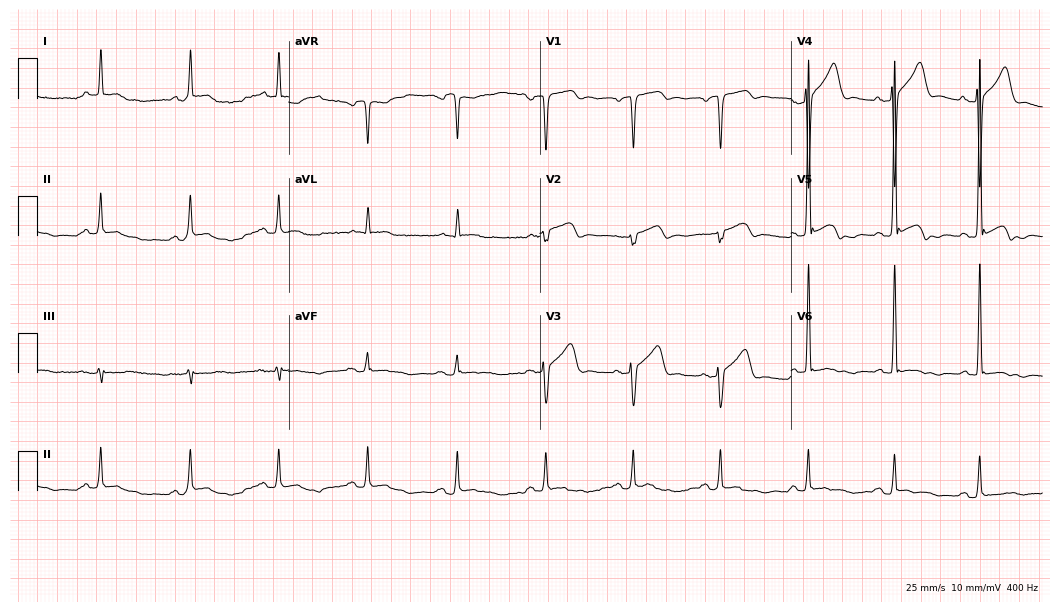
Standard 12-lead ECG recorded from a 64-year-old male (10.2-second recording at 400 Hz). None of these six findings is recorded: first-degree AV block, right bundle branch block, left bundle branch block, sinus bradycardia, atrial fibrillation, sinus tachycardia. Only these six findings were labelled.